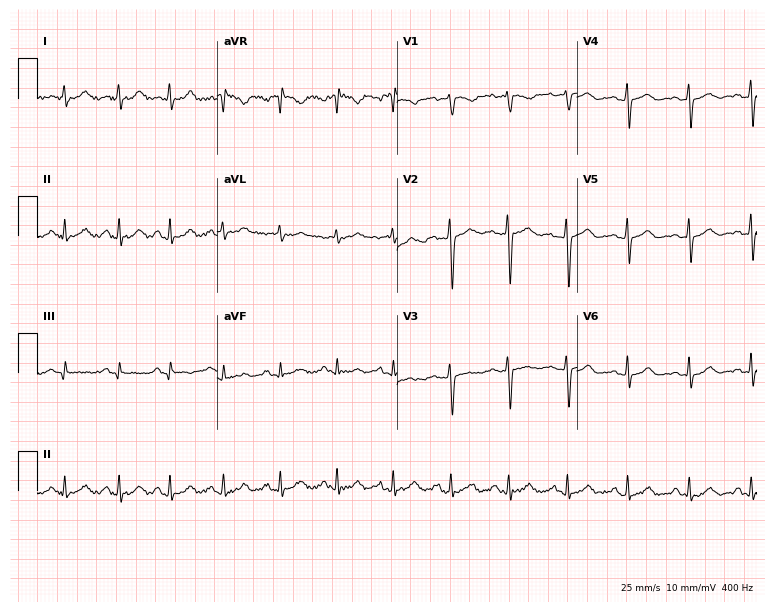
12-lead ECG from a woman, 28 years old. Findings include sinus tachycardia (a sinus rate of 100 beats per minute or more).